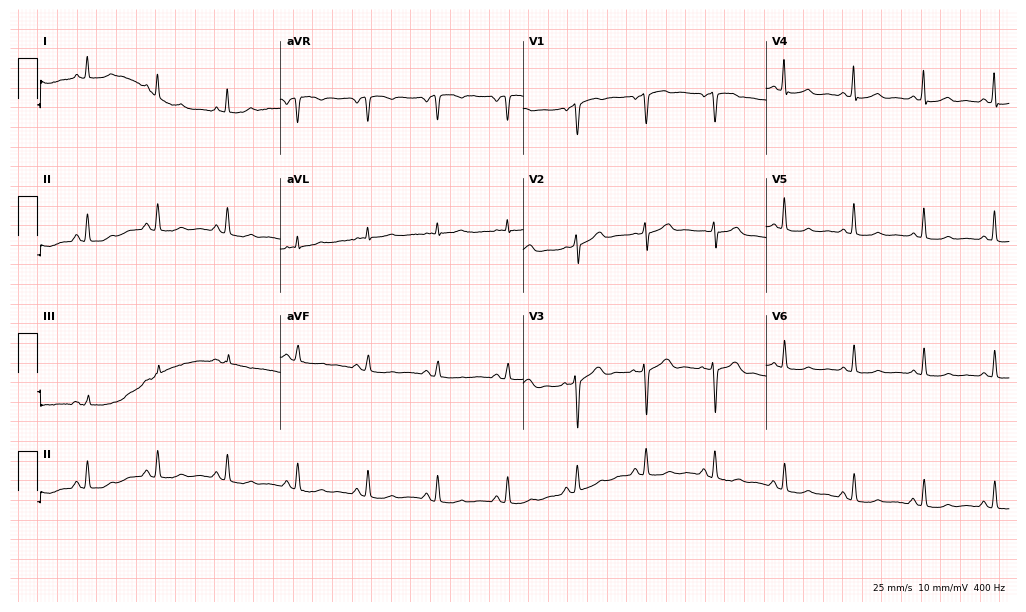
Electrocardiogram (9.9-second recording at 400 Hz), a male, 71 years old. Of the six screened findings (first-degree AV block, right bundle branch block (RBBB), left bundle branch block (LBBB), sinus bradycardia, atrial fibrillation (AF), sinus tachycardia), none is recorded.